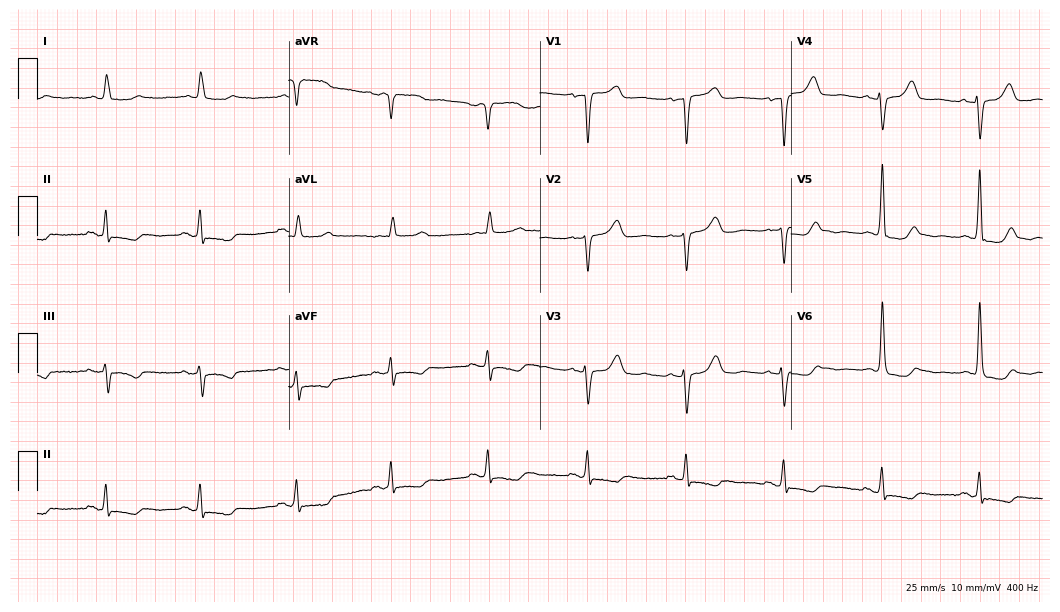
ECG (10.2-second recording at 400 Hz) — a 79-year-old female. Screened for six findings — first-degree AV block, right bundle branch block, left bundle branch block, sinus bradycardia, atrial fibrillation, sinus tachycardia — none is recorded. Other findings, if any, are not listed.